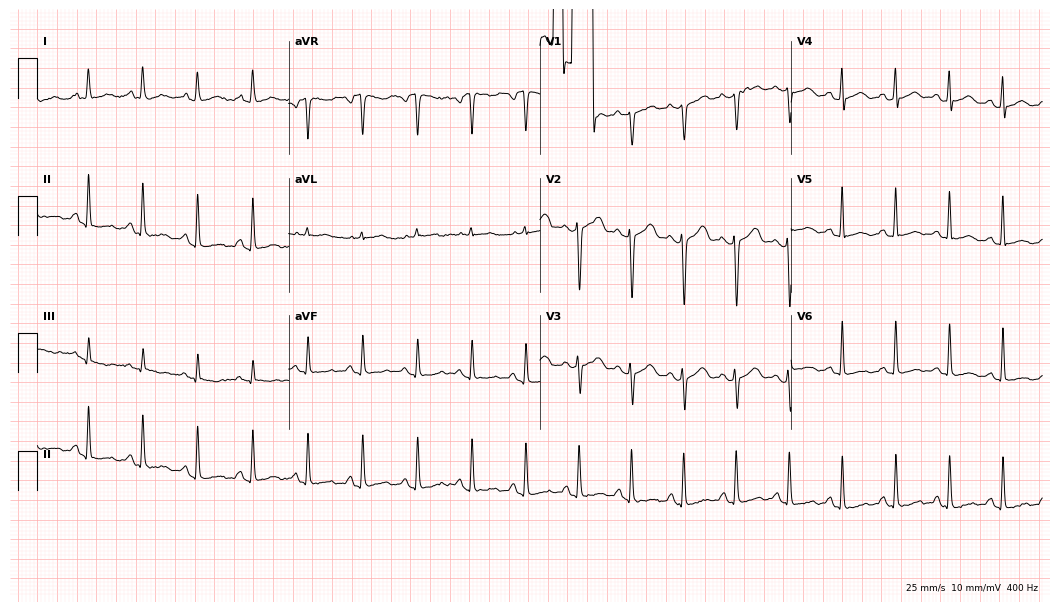
Electrocardiogram, a 25-year-old woman. Interpretation includes sinus tachycardia (a sinus rate of 100 beats per minute or more).